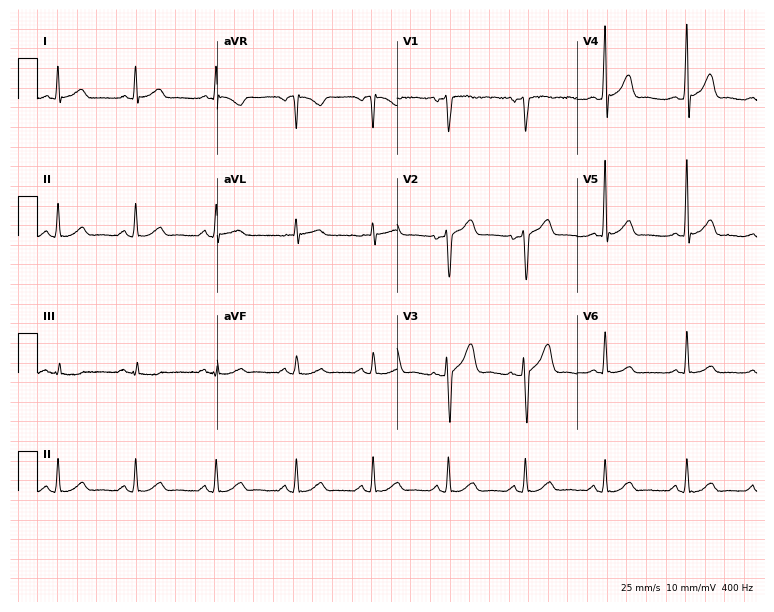
Electrocardiogram (7.3-second recording at 400 Hz), a 47-year-old male patient. Overall reading on record: normal ECG.